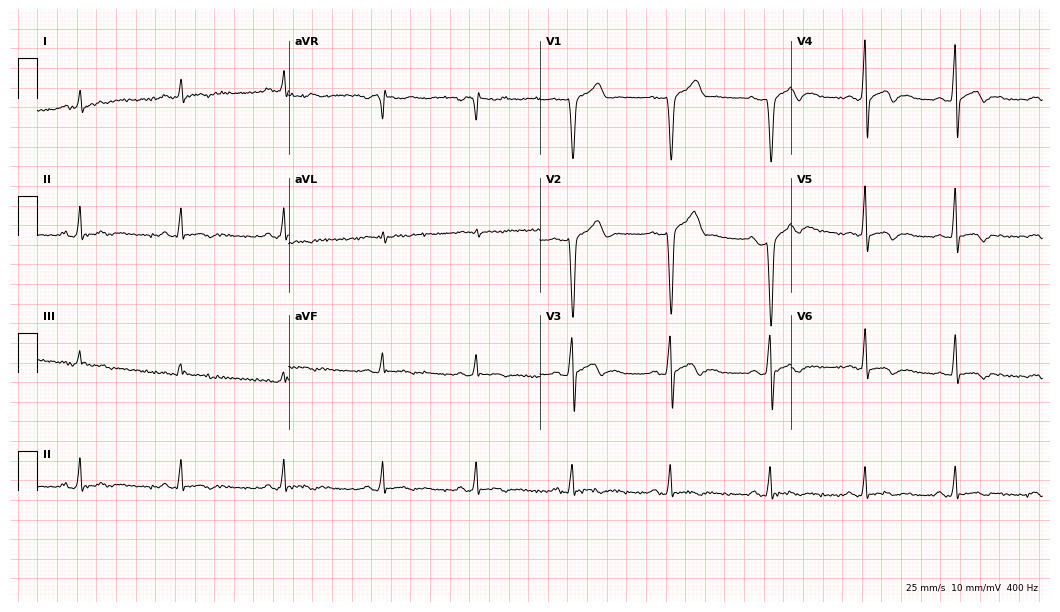
12-lead ECG (10.2-second recording at 400 Hz) from a male, 38 years old. Screened for six findings — first-degree AV block, right bundle branch block (RBBB), left bundle branch block (LBBB), sinus bradycardia, atrial fibrillation (AF), sinus tachycardia — none is recorded. Other findings, if any, are not listed.